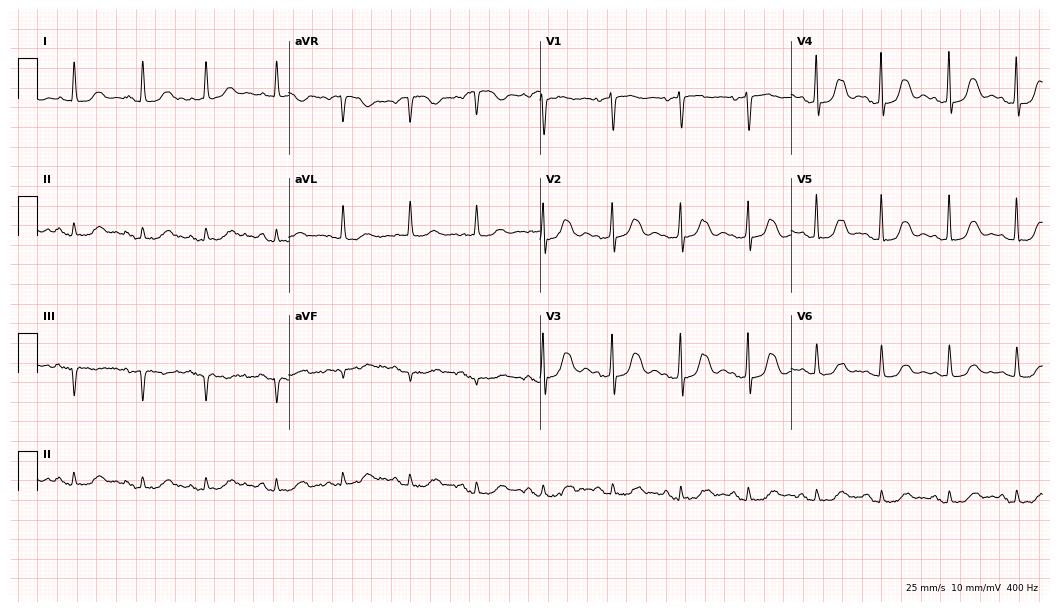
ECG (10.2-second recording at 400 Hz) — an 82-year-old woman. Labelled as a normal ECG.